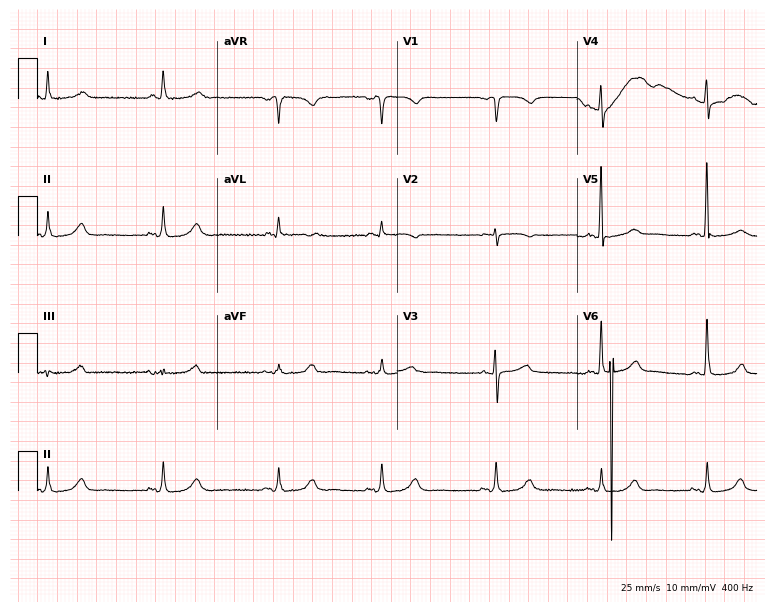
Electrocardiogram, a 70-year-old man. Of the six screened findings (first-degree AV block, right bundle branch block, left bundle branch block, sinus bradycardia, atrial fibrillation, sinus tachycardia), none is recorded.